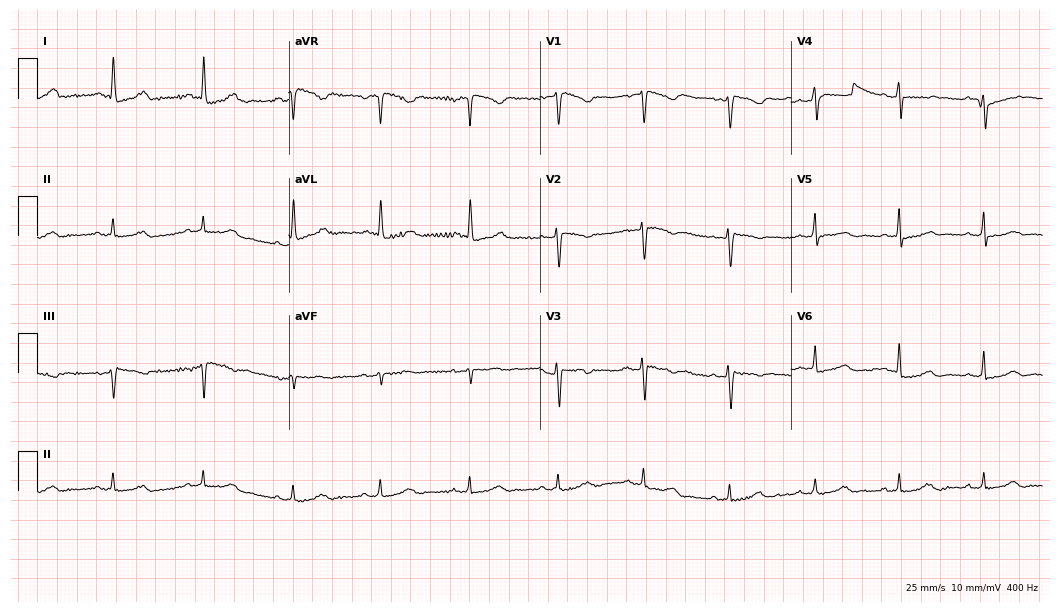
Electrocardiogram (10.2-second recording at 400 Hz), a 72-year-old female. Of the six screened findings (first-degree AV block, right bundle branch block, left bundle branch block, sinus bradycardia, atrial fibrillation, sinus tachycardia), none is recorded.